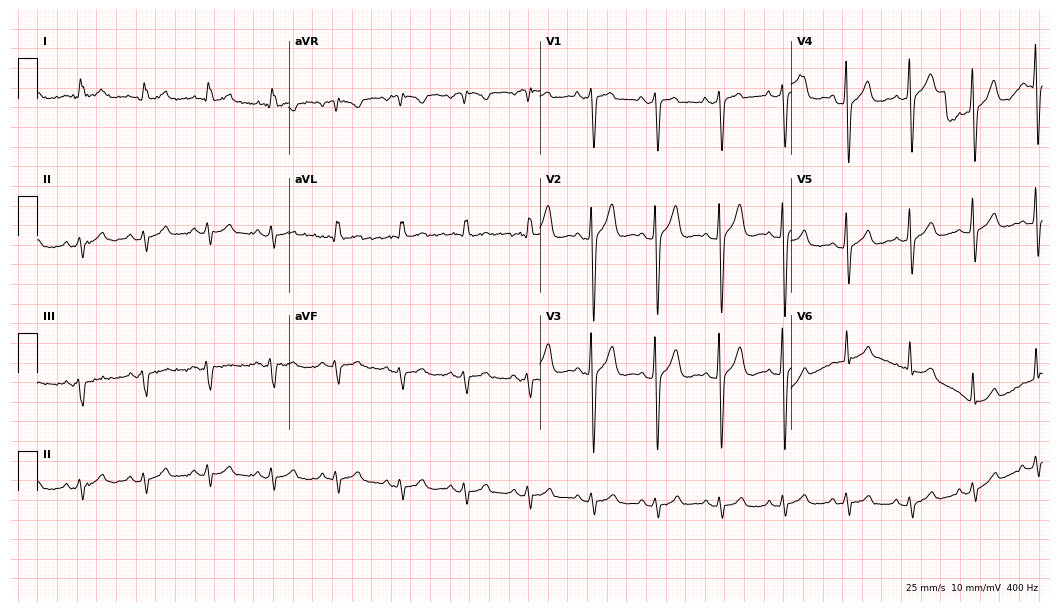
Standard 12-lead ECG recorded from a man, 84 years old (10.2-second recording at 400 Hz). Read as a normal ECG.